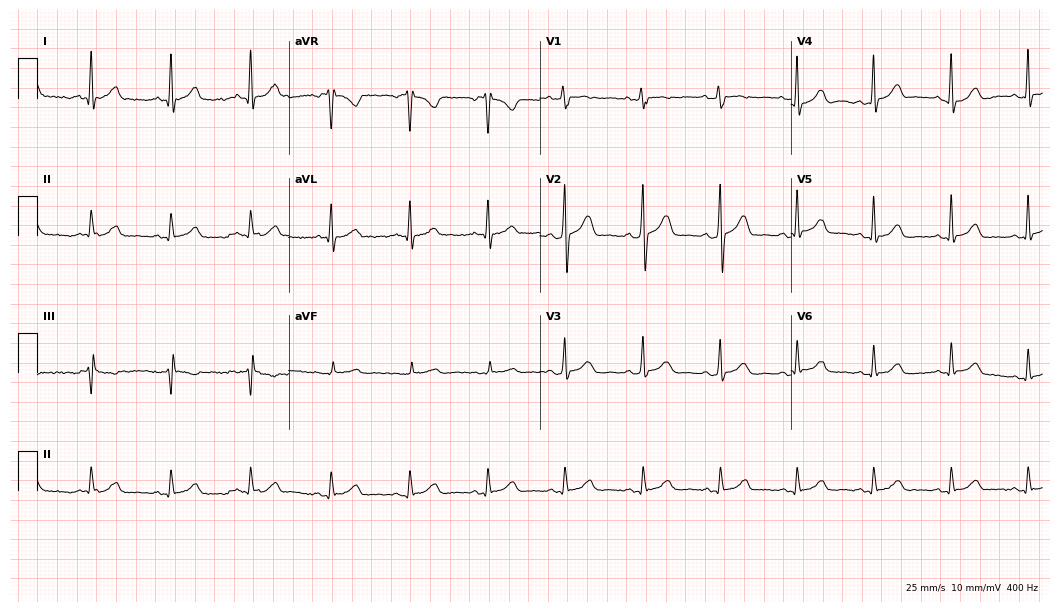
Standard 12-lead ECG recorded from a 30-year-old male patient. None of these six findings is recorded: first-degree AV block, right bundle branch block, left bundle branch block, sinus bradycardia, atrial fibrillation, sinus tachycardia. Findings outside these six are not listed.